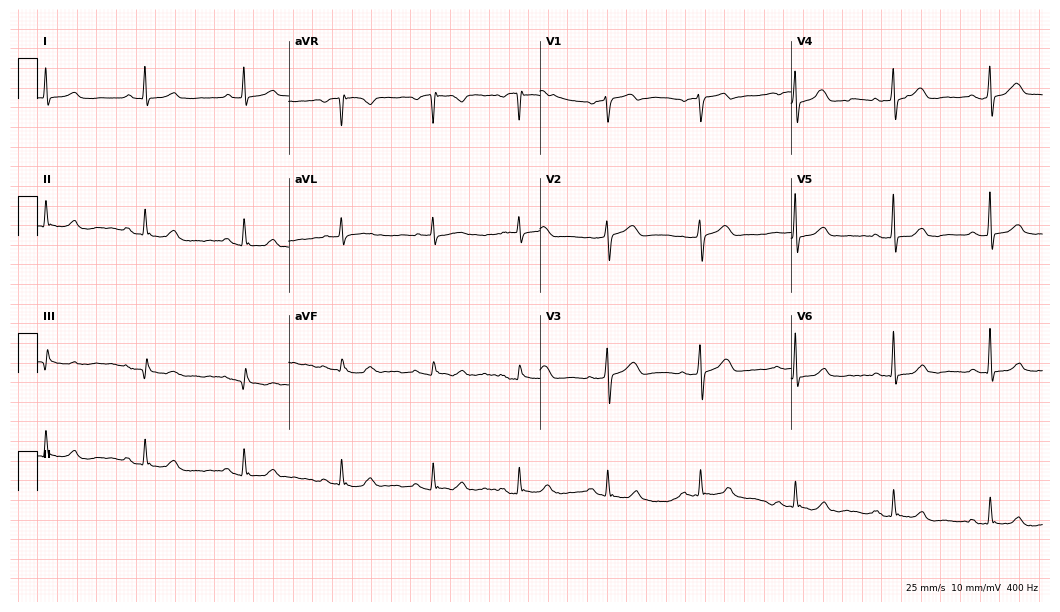
ECG — a male, 57 years old. Labelled as a normal ECG.